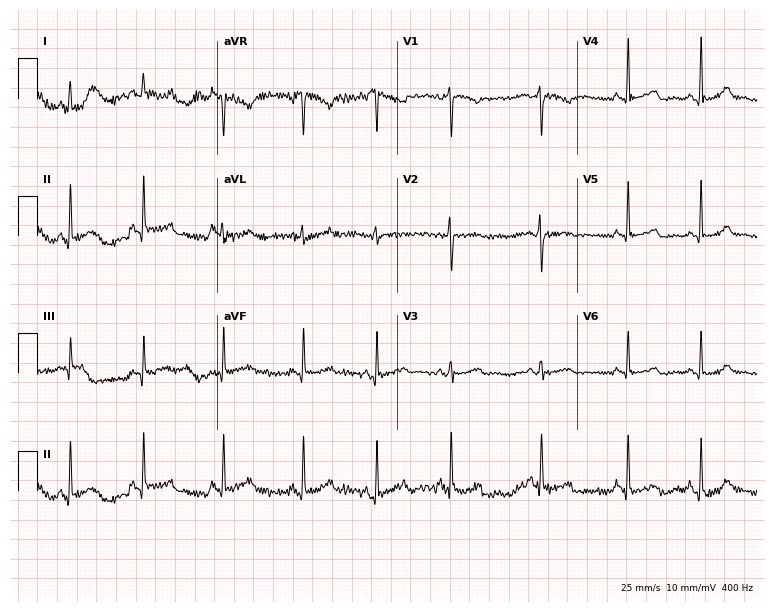
ECG — a 35-year-old female. Labelled as a normal ECG.